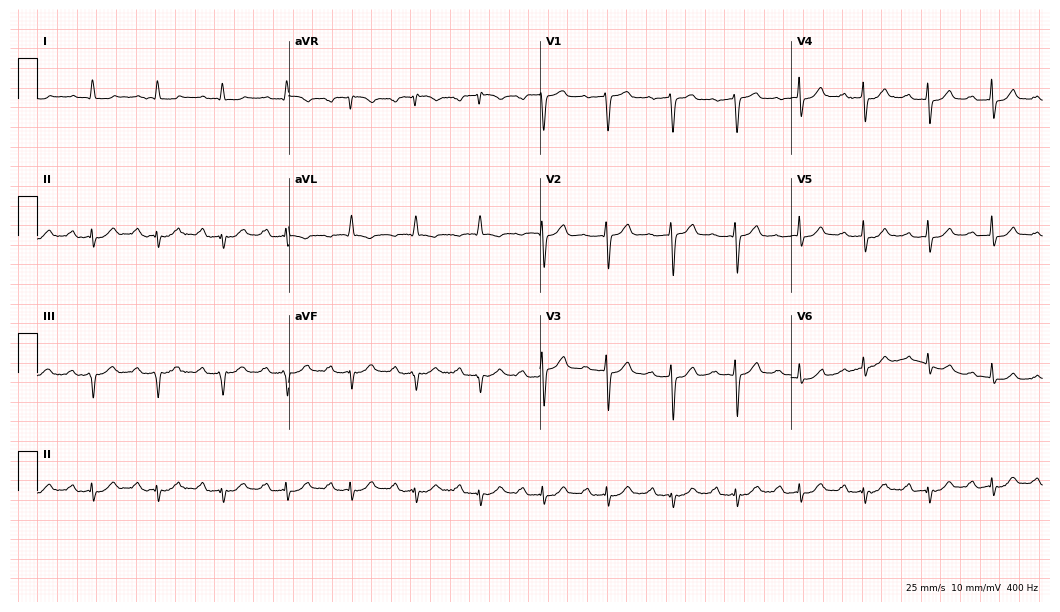
ECG — a 72-year-old female. Findings include first-degree AV block.